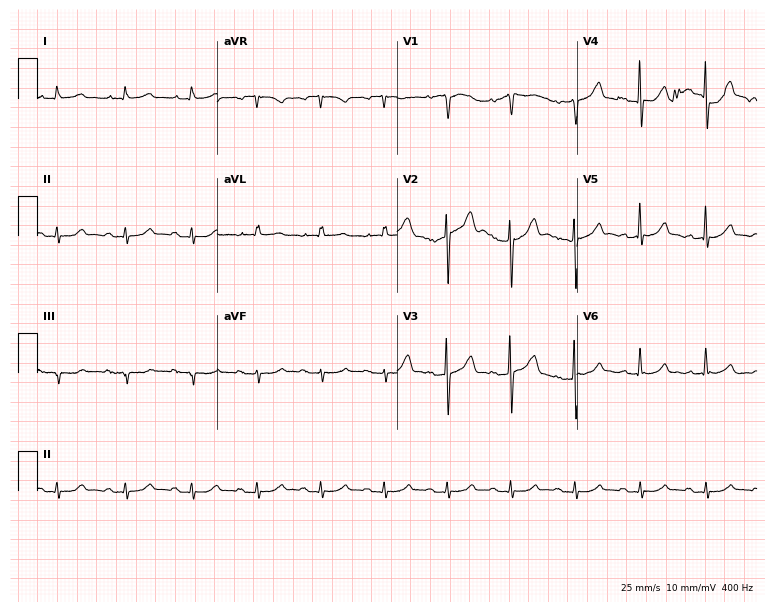
12-lead ECG from a 64-year-old male patient. Screened for six findings — first-degree AV block, right bundle branch block (RBBB), left bundle branch block (LBBB), sinus bradycardia, atrial fibrillation (AF), sinus tachycardia — none is recorded.